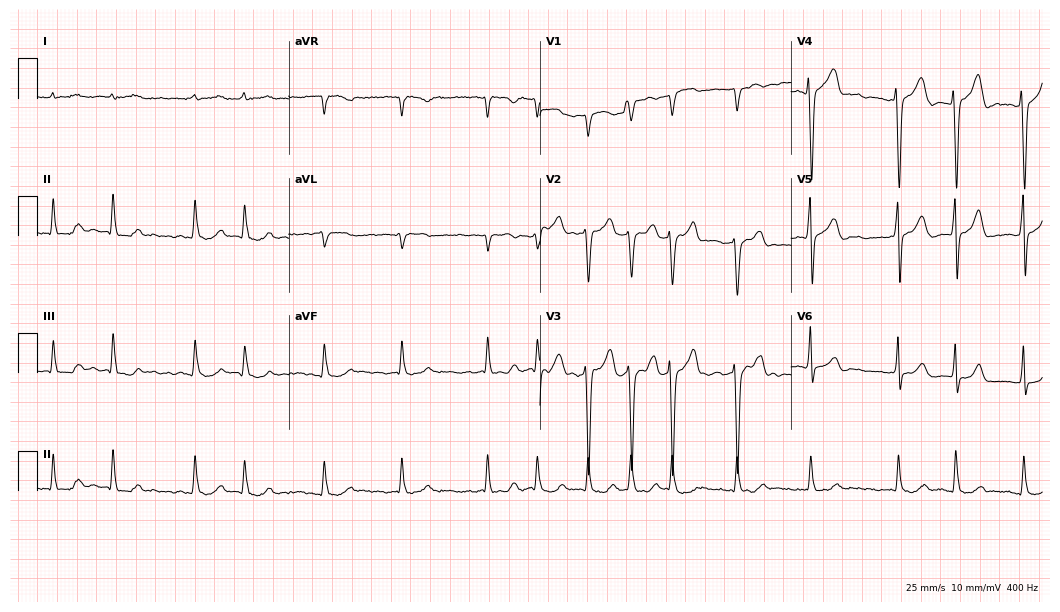
Standard 12-lead ECG recorded from a 72-year-old male patient (10.2-second recording at 400 Hz). The tracing shows atrial fibrillation.